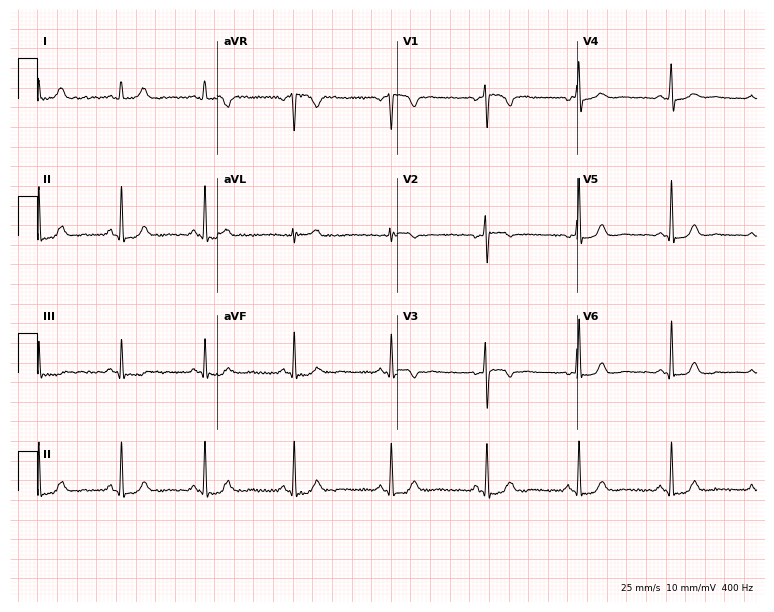
Resting 12-lead electrocardiogram. Patient: a 47-year-old female. None of these six findings is recorded: first-degree AV block, right bundle branch block, left bundle branch block, sinus bradycardia, atrial fibrillation, sinus tachycardia.